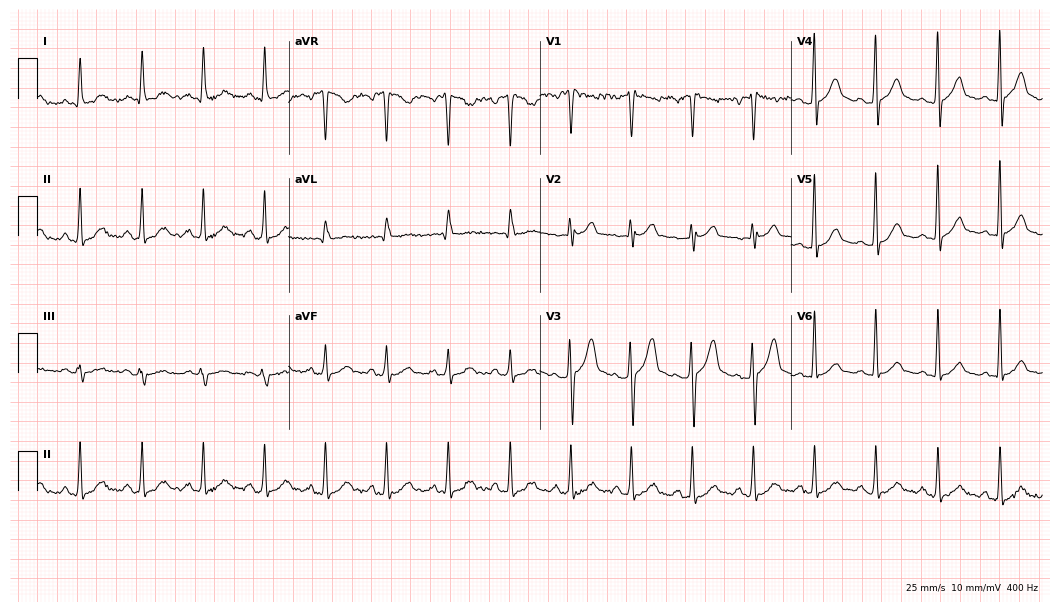
Standard 12-lead ECG recorded from a 17-year-old male. Read as a normal ECG.